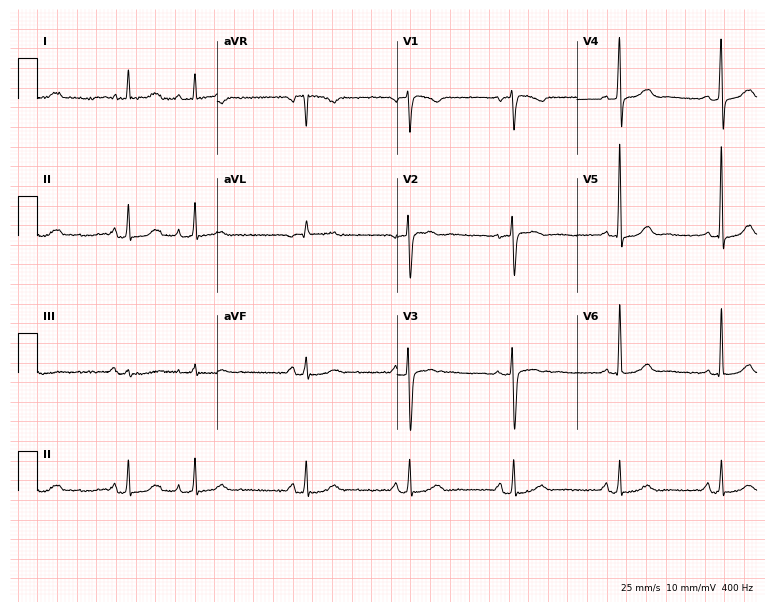
Electrocardiogram (7.3-second recording at 400 Hz), a 57-year-old female patient. Overall reading on record: normal ECG.